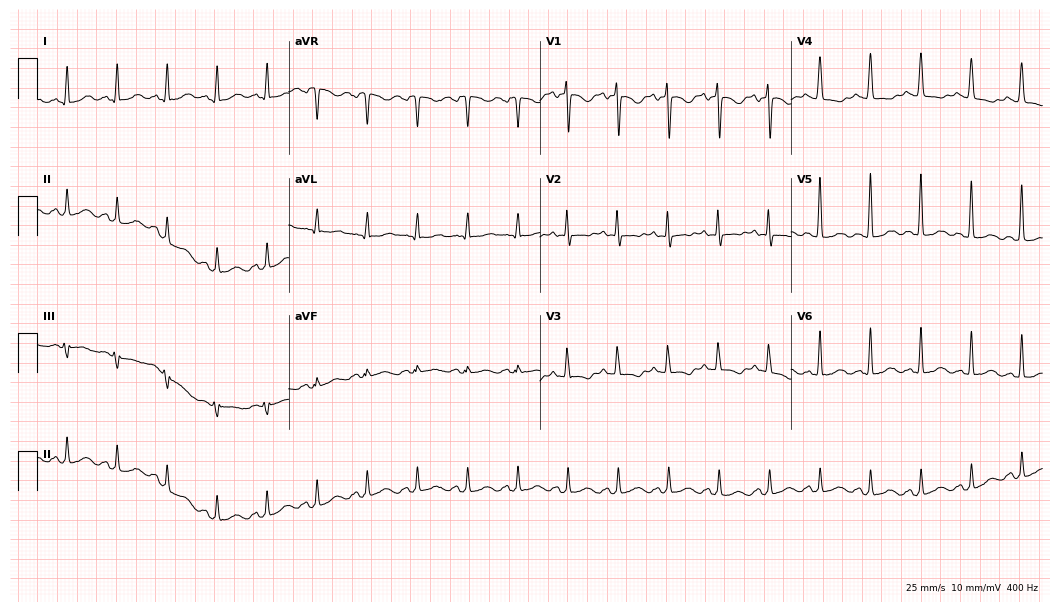
ECG — a 41-year-old female patient. Screened for six findings — first-degree AV block, right bundle branch block (RBBB), left bundle branch block (LBBB), sinus bradycardia, atrial fibrillation (AF), sinus tachycardia — none is recorded. Only these six findings were labelled.